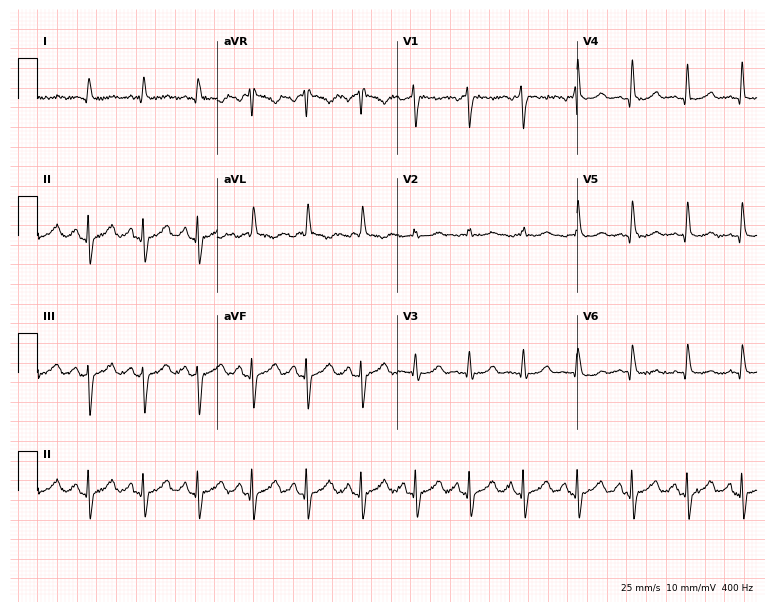
Standard 12-lead ECG recorded from a male patient, 62 years old. The tracing shows sinus tachycardia (a sinus rate of 100 beats per minute or more).